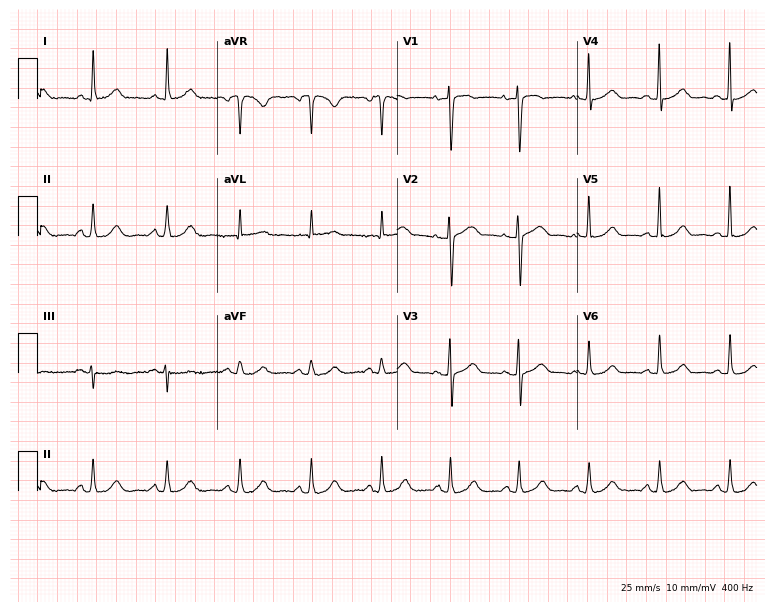
ECG — a 74-year-old woman. Labelled as a normal ECG.